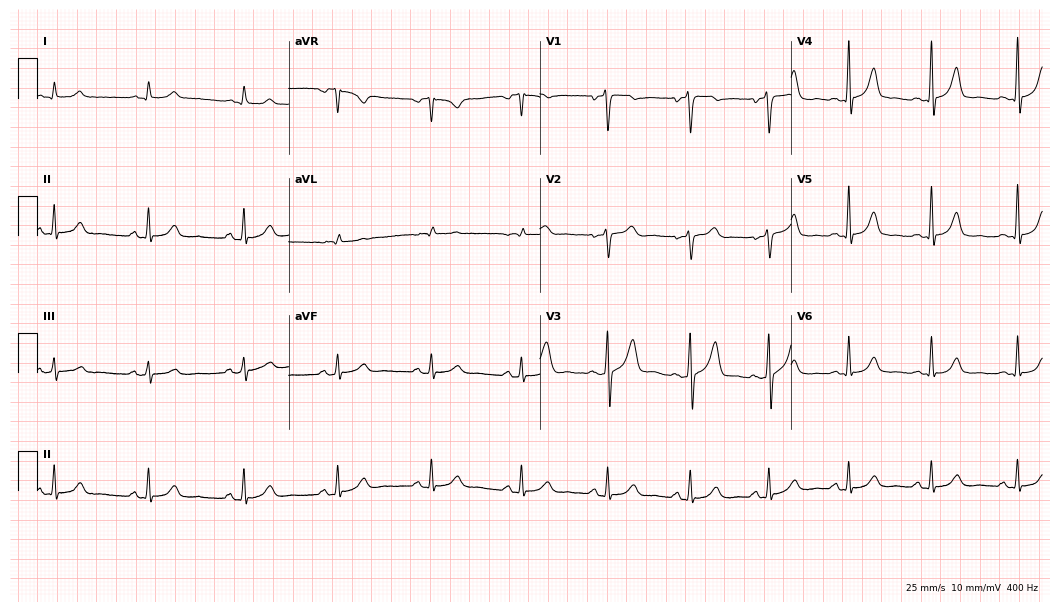
12-lead ECG from a male, 49 years old (10.2-second recording at 400 Hz). Recorded interpretation: within normal limits.